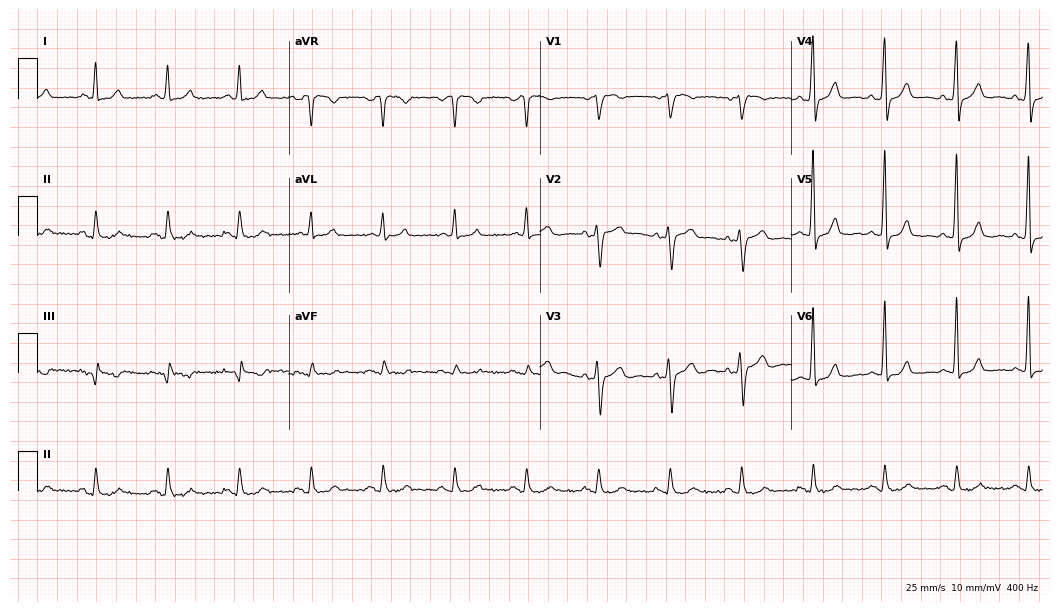
12-lead ECG from a male patient, 49 years old. Recorded interpretation: within normal limits.